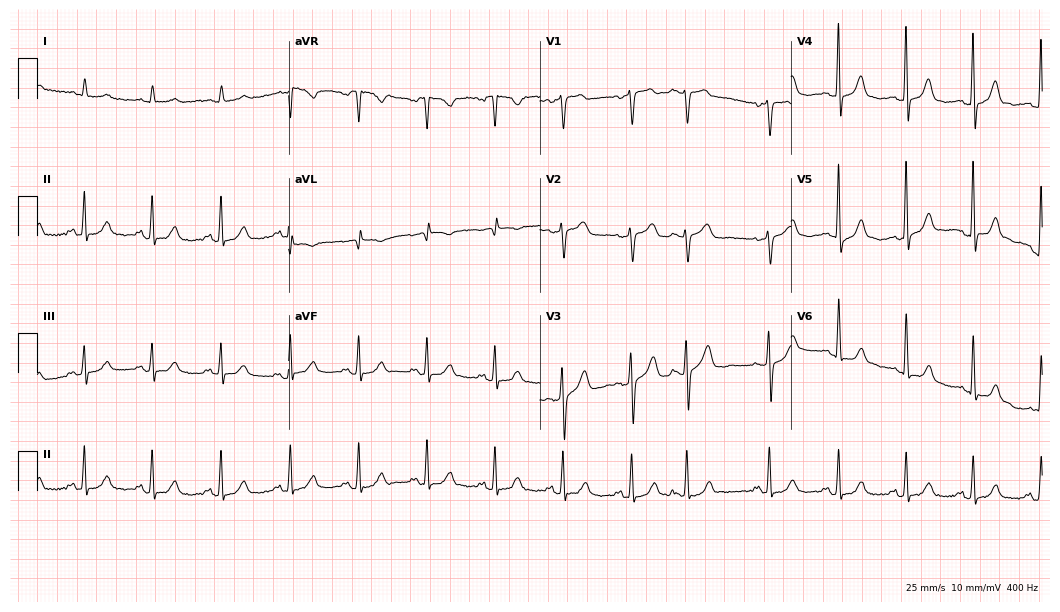
ECG (10.2-second recording at 400 Hz) — a woman, 81 years old. Labelled as a normal ECG.